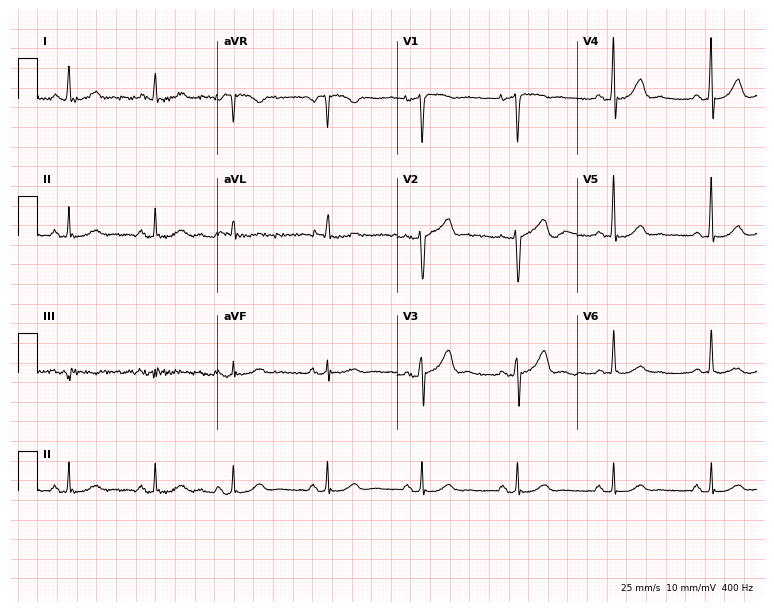
Electrocardiogram, a 59-year-old man. Overall reading on record: normal ECG.